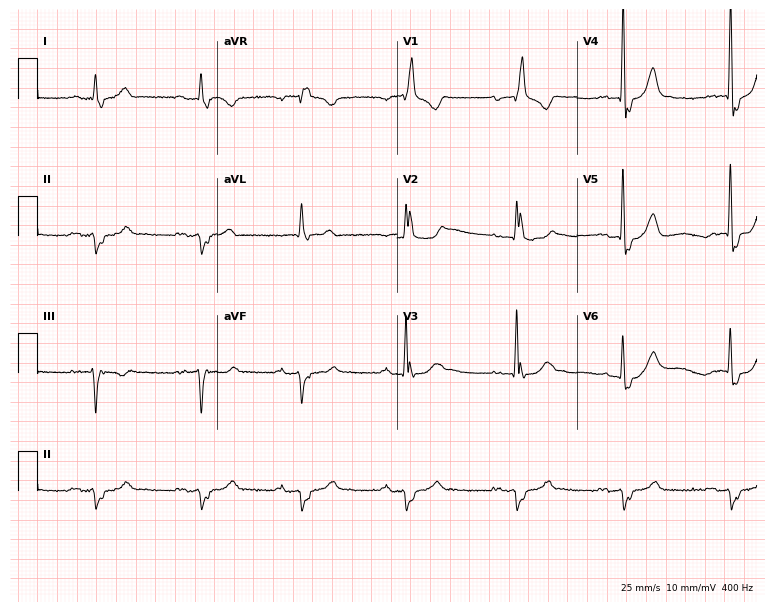
ECG — a male patient, 73 years old. Findings include first-degree AV block, right bundle branch block.